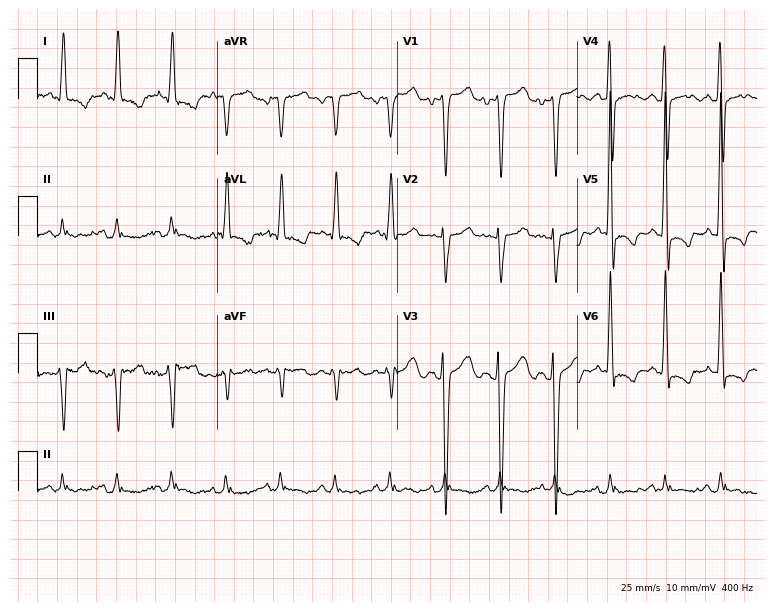
12-lead ECG from a male, 55 years old. Screened for six findings — first-degree AV block, right bundle branch block (RBBB), left bundle branch block (LBBB), sinus bradycardia, atrial fibrillation (AF), sinus tachycardia — none is recorded.